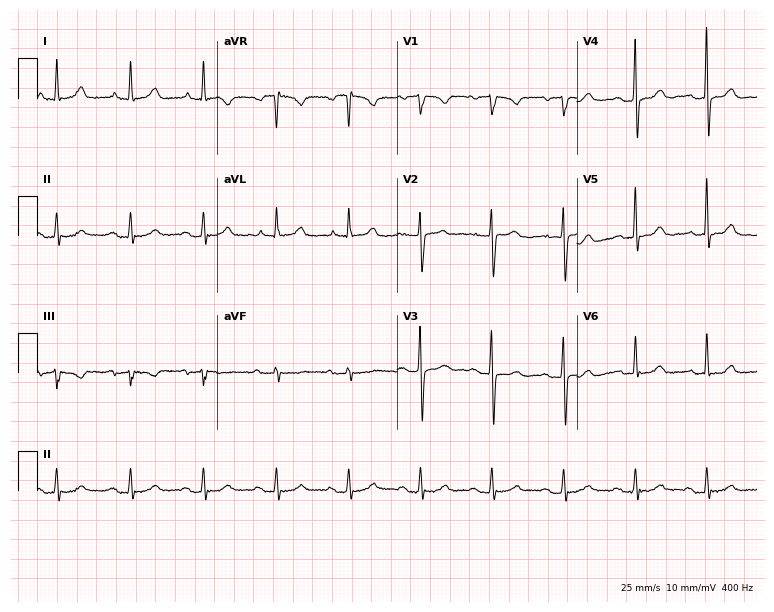
ECG — an 85-year-old woman. Labelled as a normal ECG.